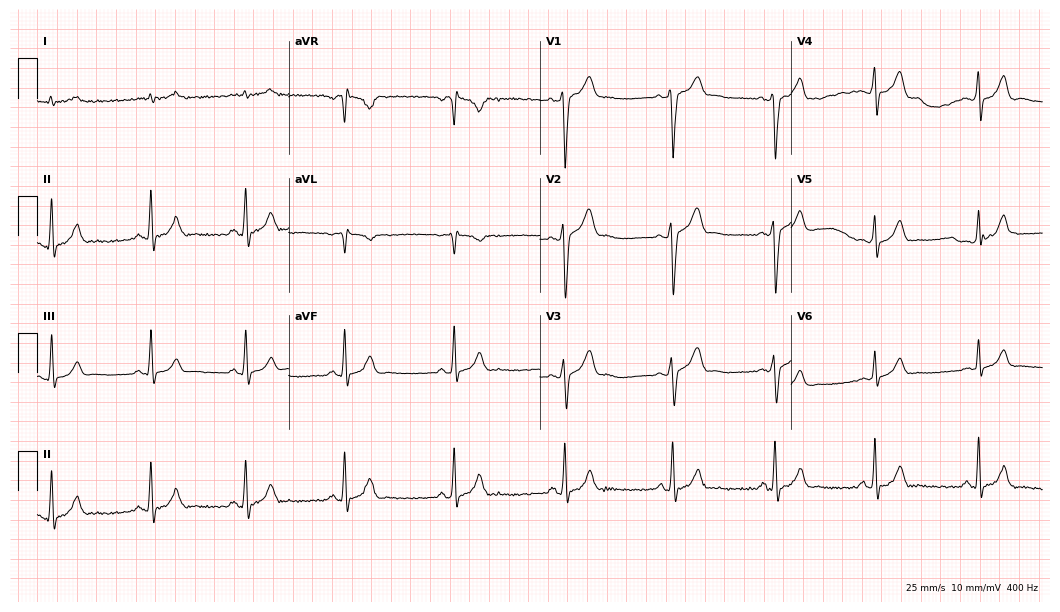
12-lead ECG from a 25-year-old man (10.2-second recording at 400 Hz). Recorded interpretation: within normal limits.